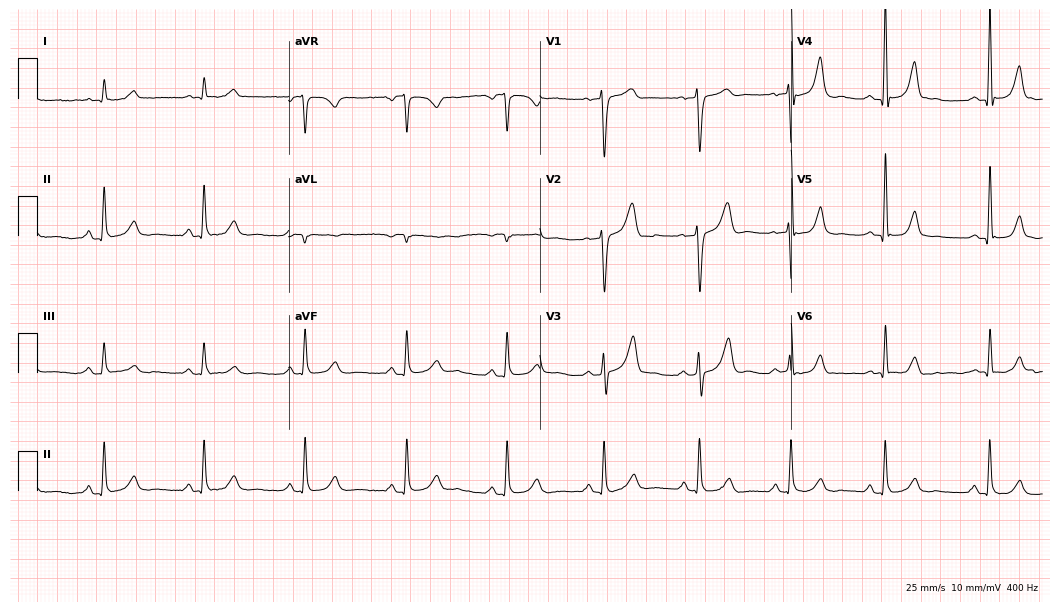
Resting 12-lead electrocardiogram. Patient: a 51-year-old man. Read as a normal ECG.